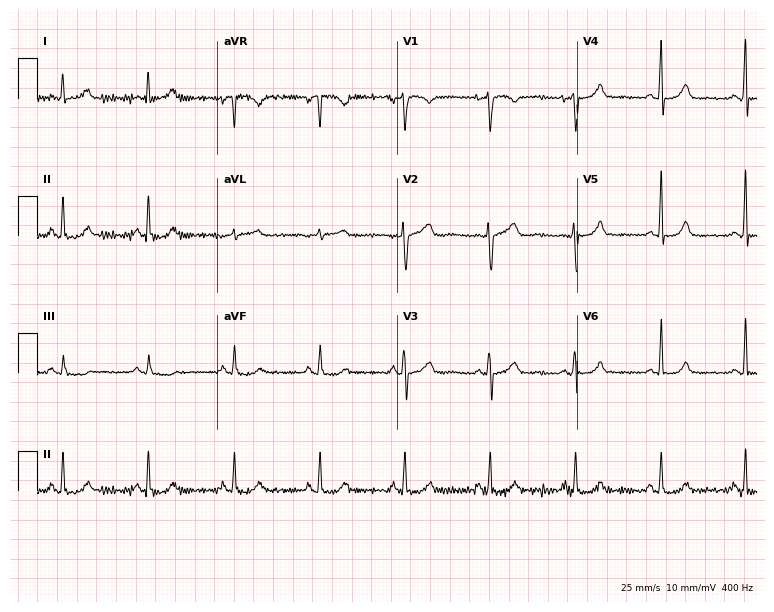
Electrocardiogram (7.3-second recording at 400 Hz), a woman, 49 years old. Overall reading on record: normal ECG.